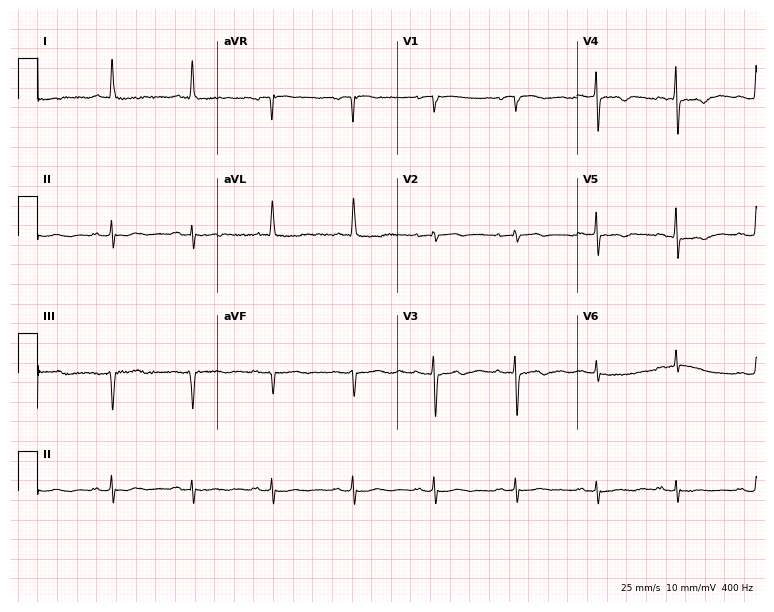
Resting 12-lead electrocardiogram. Patient: an 85-year-old woman. None of these six findings is recorded: first-degree AV block, right bundle branch block, left bundle branch block, sinus bradycardia, atrial fibrillation, sinus tachycardia. Findings outside these six are not listed.